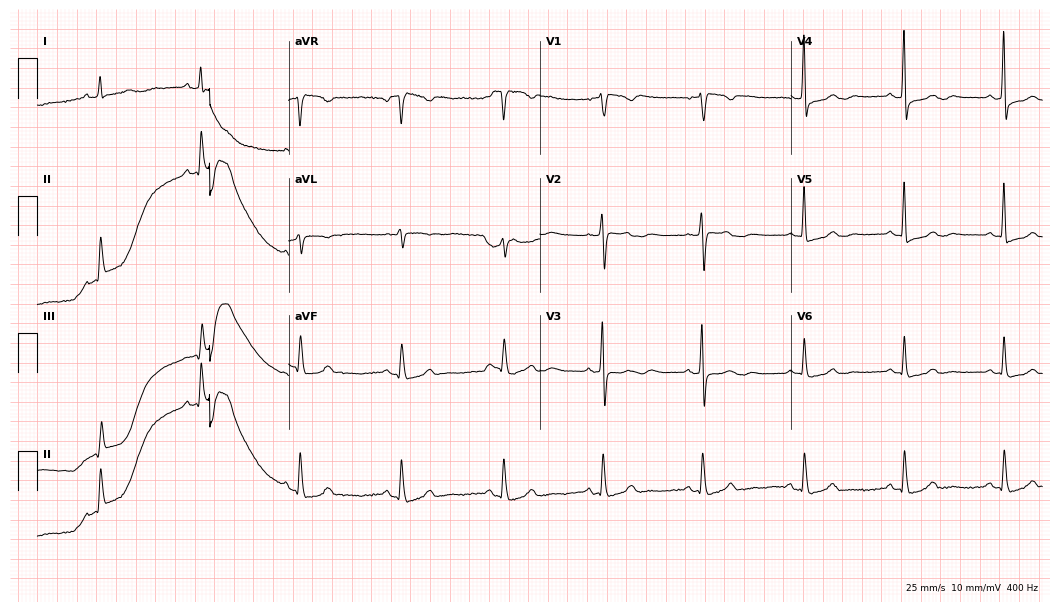
Electrocardiogram, a female patient, 68 years old. Of the six screened findings (first-degree AV block, right bundle branch block, left bundle branch block, sinus bradycardia, atrial fibrillation, sinus tachycardia), none is recorded.